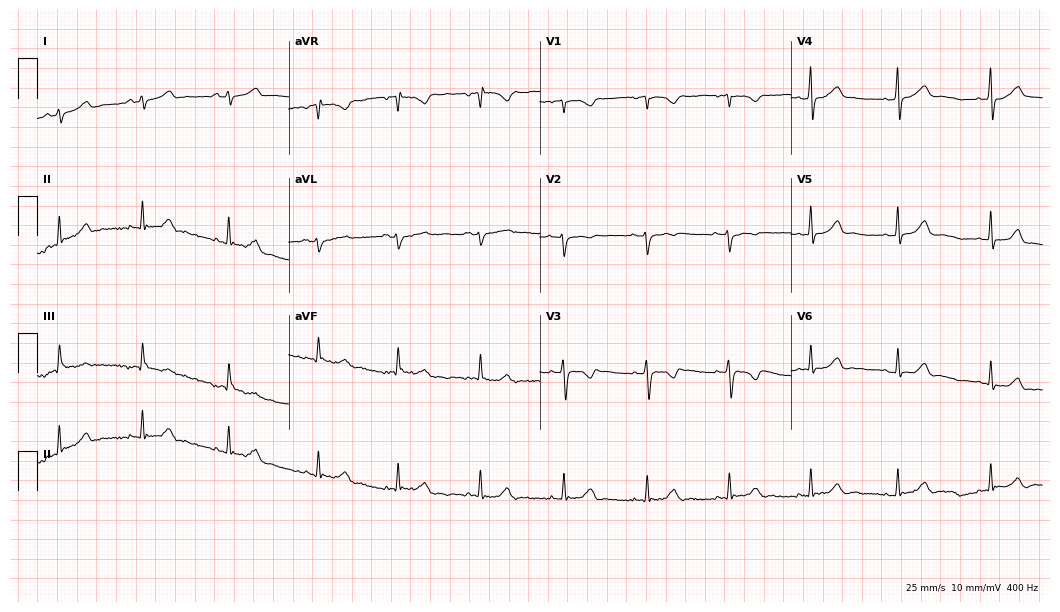
Electrocardiogram (10.2-second recording at 400 Hz), a 17-year-old woman. Overall reading on record: normal ECG.